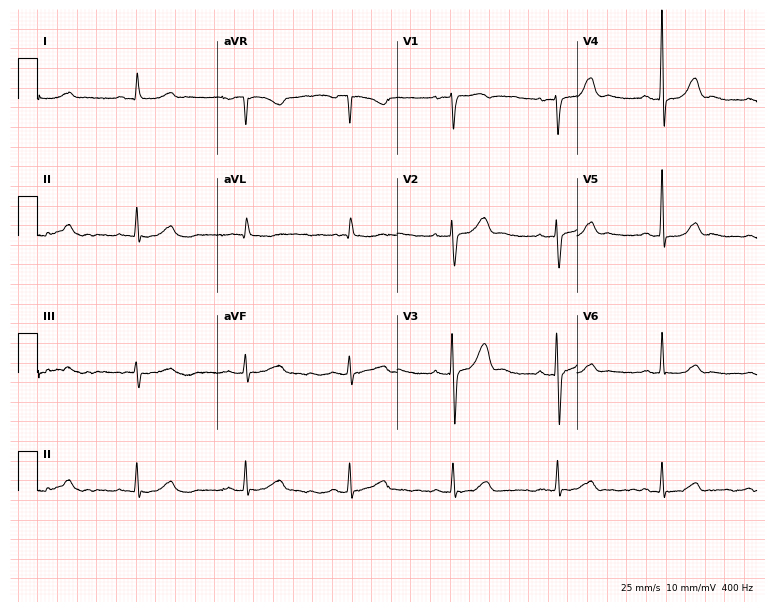
Standard 12-lead ECG recorded from a man, 76 years old (7.3-second recording at 400 Hz). Read as a normal ECG.